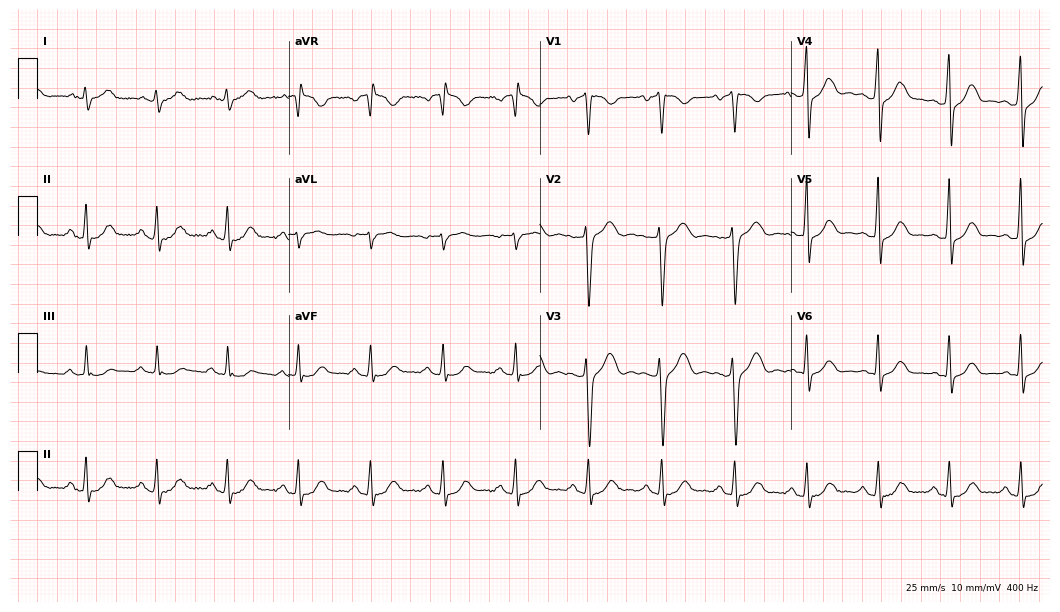
Electrocardiogram, a 31-year-old male. Of the six screened findings (first-degree AV block, right bundle branch block, left bundle branch block, sinus bradycardia, atrial fibrillation, sinus tachycardia), none is recorded. Findings outside these six are not listed.